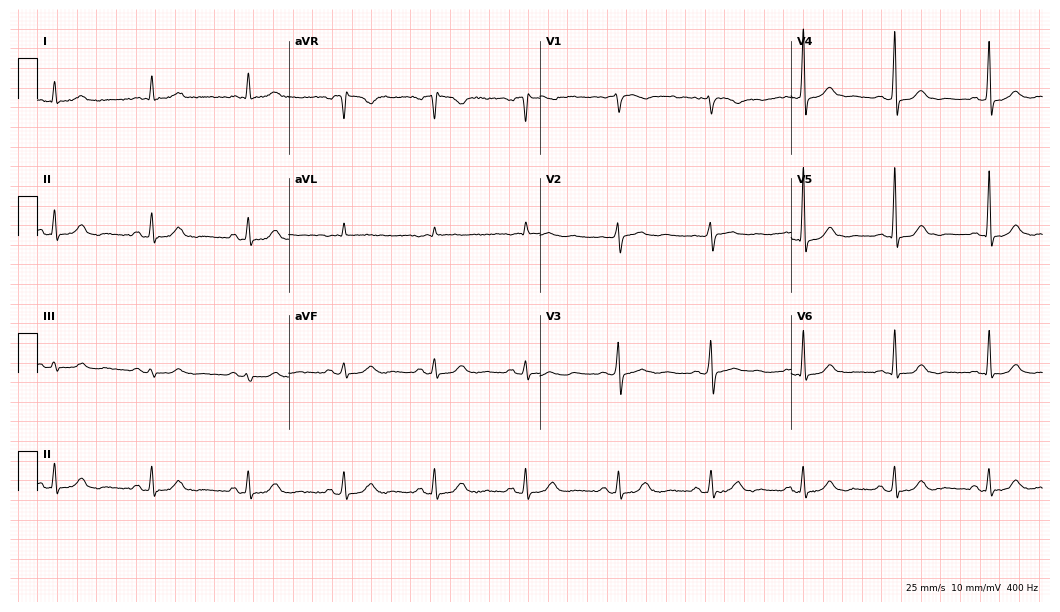
12-lead ECG from a 55-year-old female patient (10.2-second recording at 400 Hz). Recorded interpretation: within normal limits.